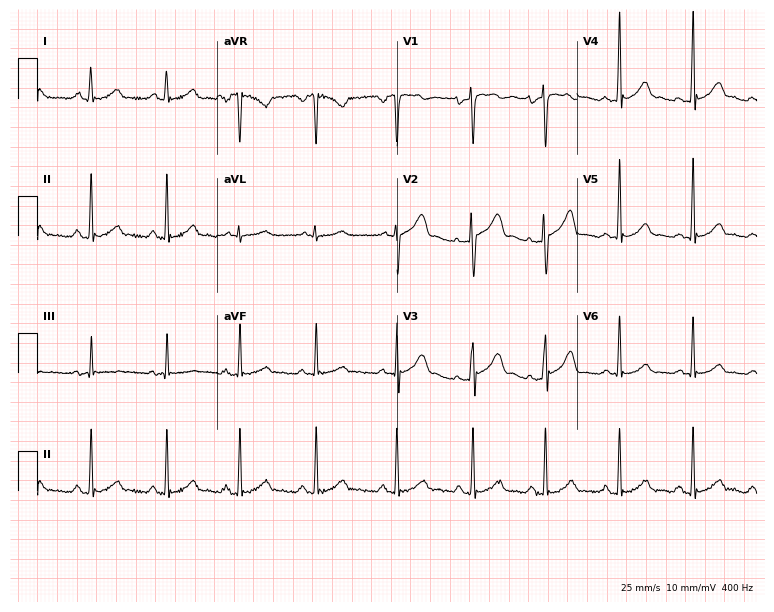
Electrocardiogram (7.3-second recording at 400 Hz), a male patient, 40 years old. Of the six screened findings (first-degree AV block, right bundle branch block, left bundle branch block, sinus bradycardia, atrial fibrillation, sinus tachycardia), none is recorded. Only these six findings were labelled.